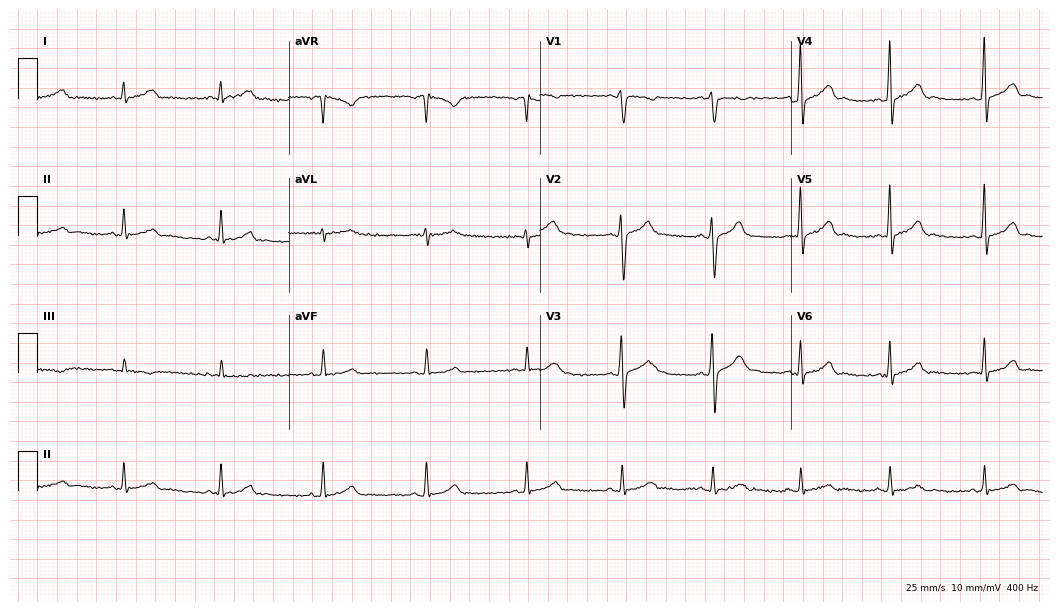
ECG — a 34-year-old male patient. Labelled as a normal ECG.